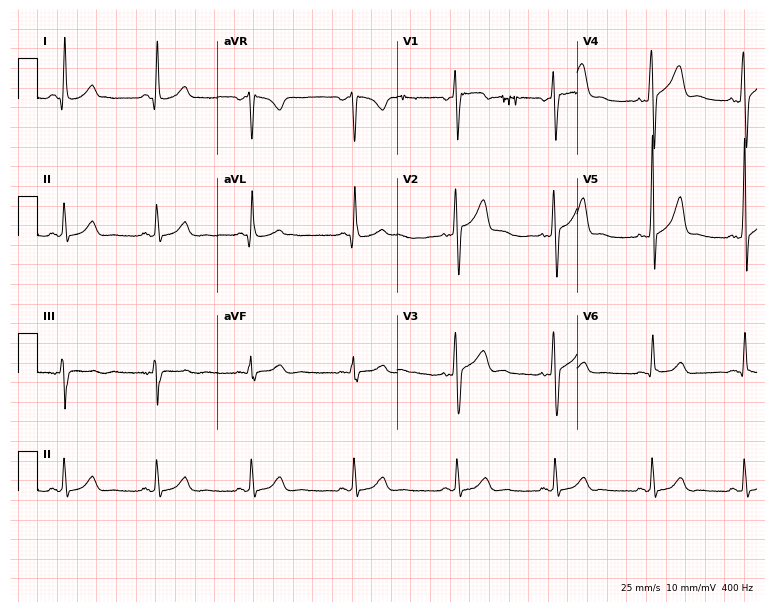
ECG — a male, 38 years old. Labelled as a normal ECG.